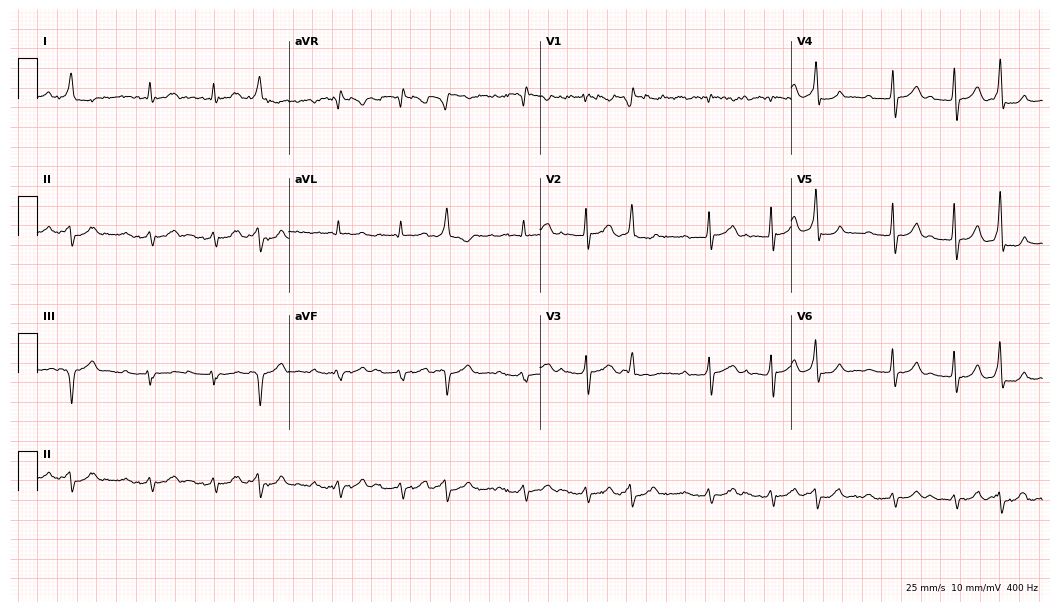
Resting 12-lead electrocardiogram. Patient: a 73-year-old man. None of these six findings is recorded: first-degree AV block, right bundle branch block, left bundle branch block, sinus bradycardia, atrial fibrillation, sinus tachycardia.